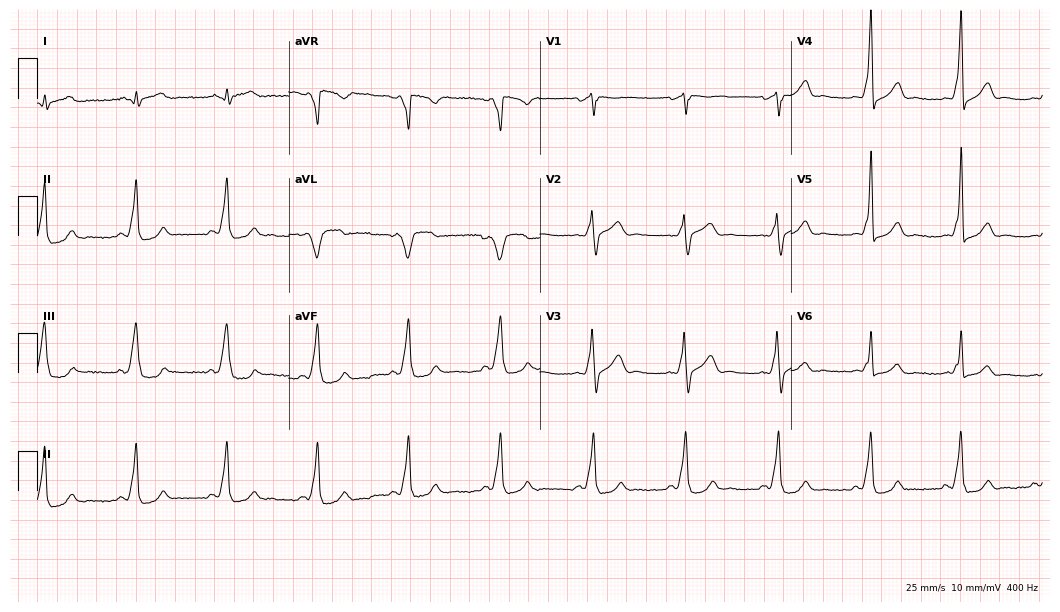
12-lead ECG from a female, 62 years old. Screened for six findings — first-degree AV block, right bundle branch block (RBBB), left bundle branch block (LBBB), sinus bradycardia, atrial fibrillation (AF), sinus tachycardia — none is recorded.